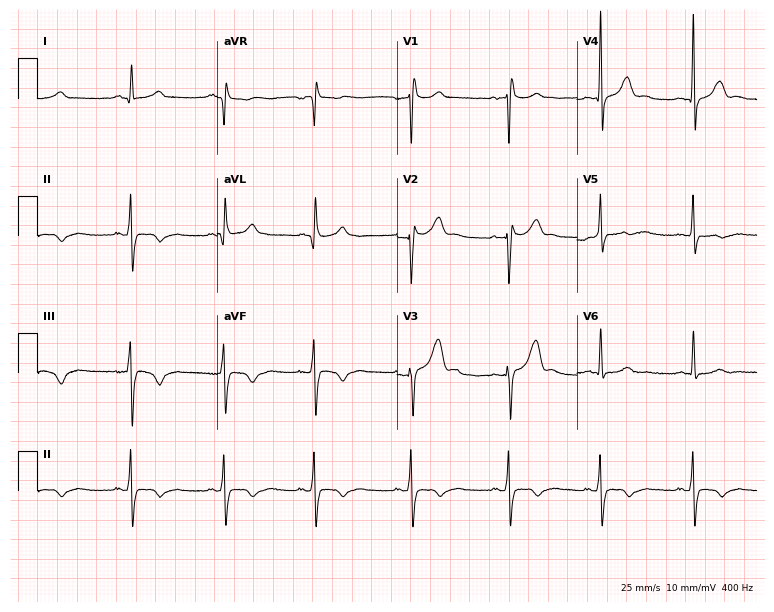
ECG — a 25-year-old man. Screened for six findings — first-degree AV block, right bundle branch block, left bundle branch block, sinus bradycardia, atrial fibrillation, sinus tachycardia — none is recorded.